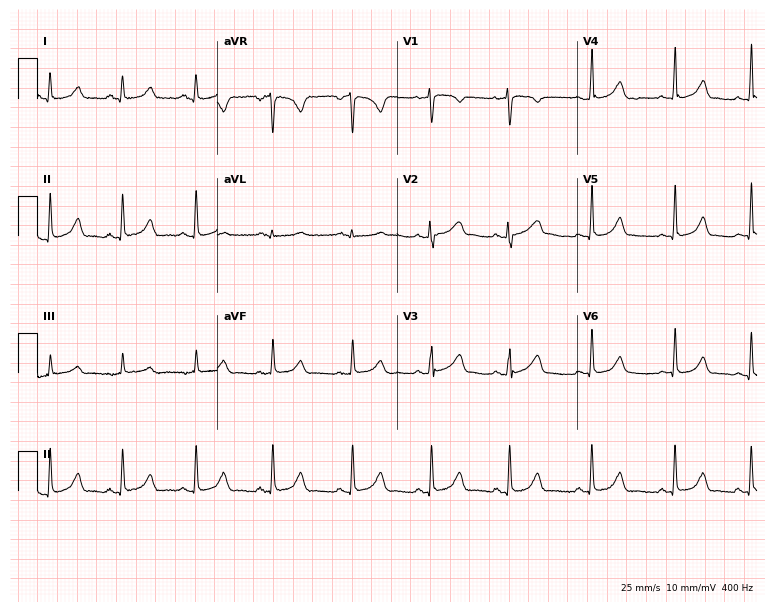
12-lead ECG (7.3-second recording at 400 Hz) from a 17-year-old female patient. Screened for six findings — first-degree AV block, right bundle branch block, left bundle branch block, sinus bradycardia, atrial fibrillation, sinus tachycardia — none is recorded.